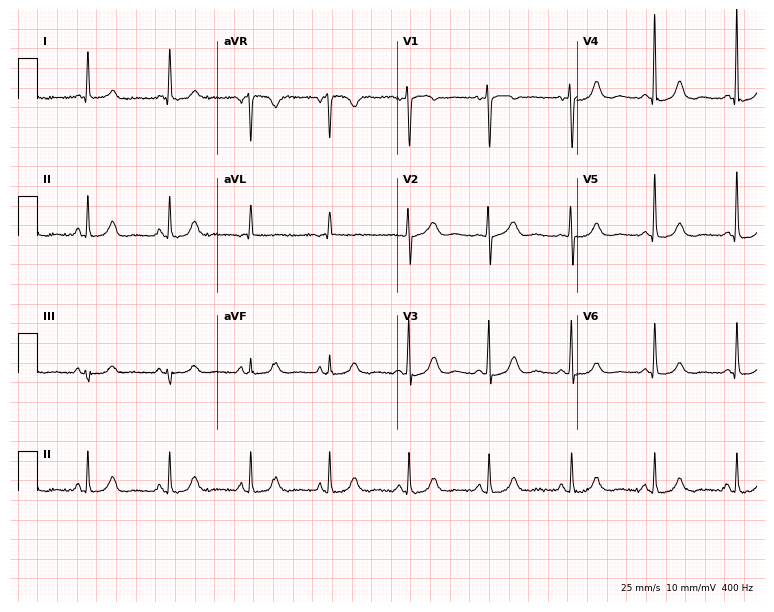
Electrocardiogram (7.3-second recording at 400 Hz), a 74-year-old female patient. Of the six screened findings (first-degree AV block, right bundle branch block, left bundle branch block, sinus bradycardia, atrial fibrillation, sinus tachycardia), none is recorded. Other findings, if any, are not listed.